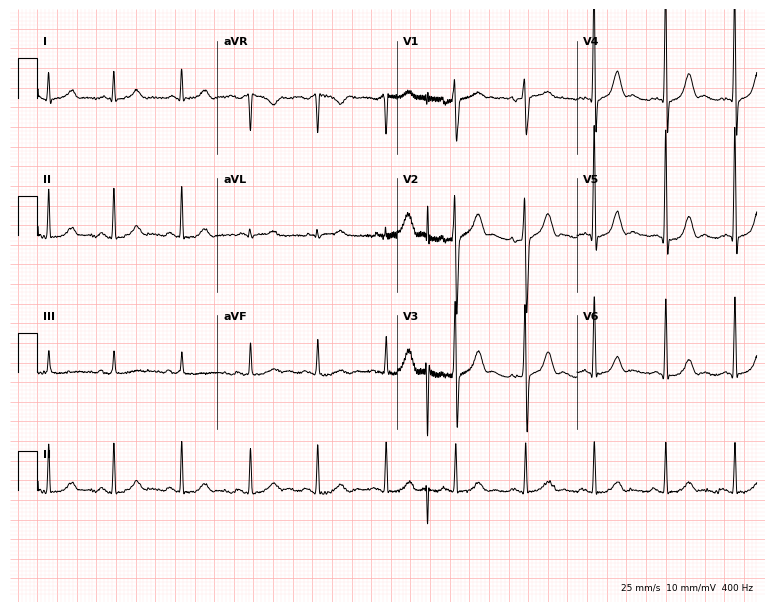
Standard 12-lead ECG recorded from a male patient, 55 years old. Read as a normal ECG.